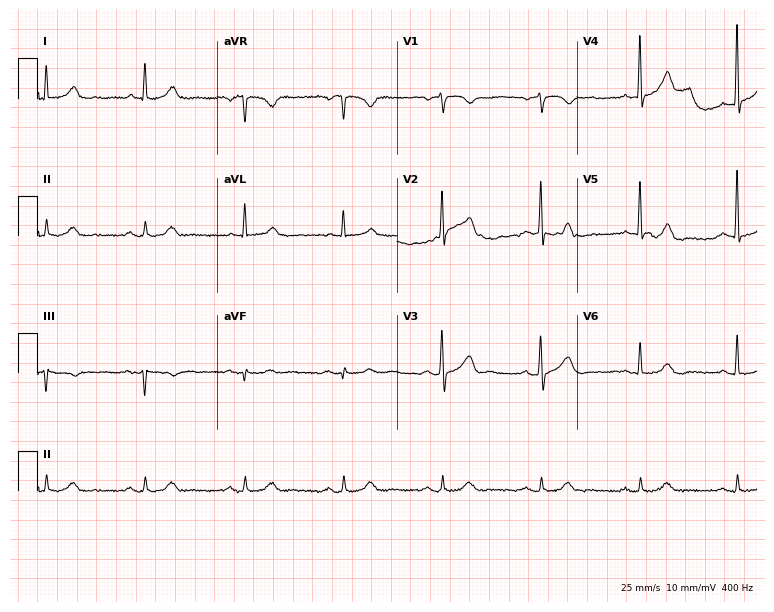
Resting 12-lead electrocardiogram. Patient: a male, 79 years old. Read as a normal ECG.